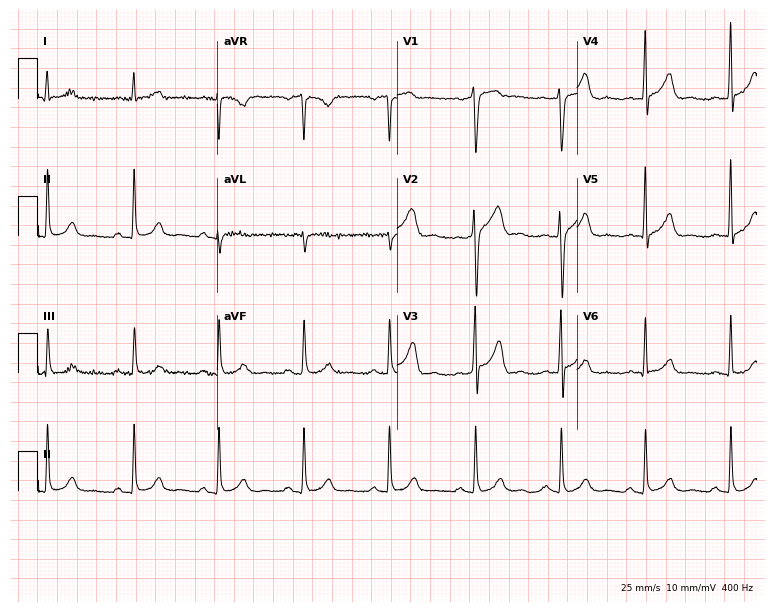
12-lead ECG from a man, 43 years old. Screened for six findings — first-degree AV block, right bundle branch block, left bundle branch block, sinus bradycardia, atrial fibrillation, sinus tachycardia — none is recorded.